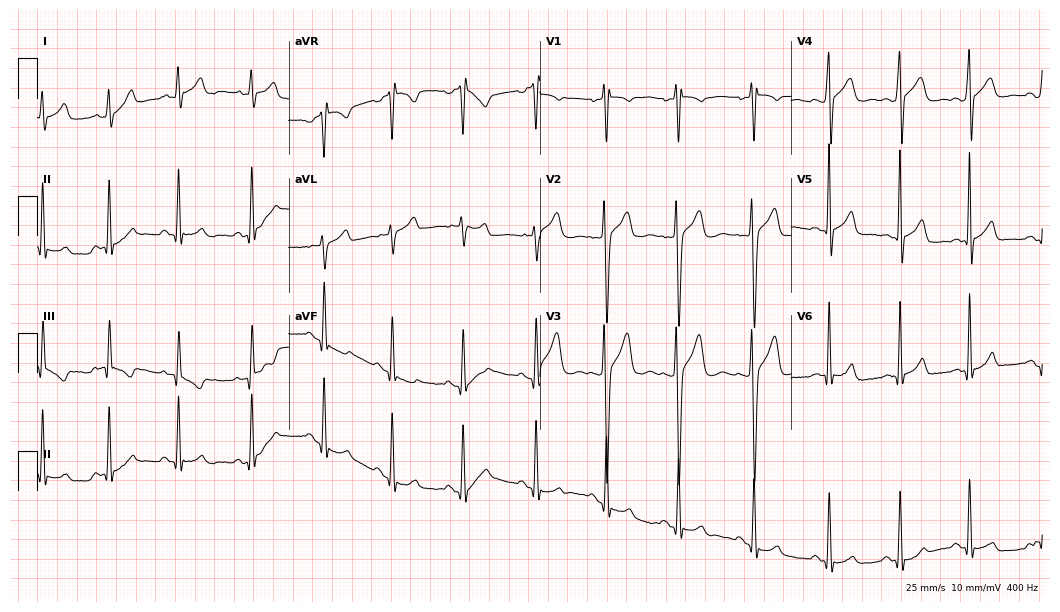
Standard 12-lead ECG recorded from a male, 18 years old (10.2-second recording at 400 Hz). Read as a normal ECG.